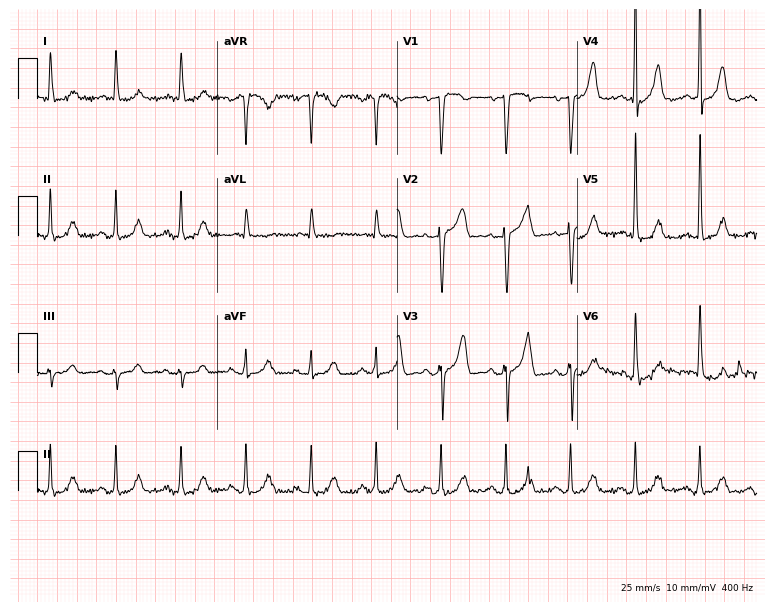
Resting 12-lead electrocardiogram (7.3-second recording at 400 Hz). Patient: a 73-year-old male. None of these six findings is recorded: first-degree AV block, right bundle branch block (RBBB), left bundle branch block (LBBB), sinus bradycardia, atrial fibrillation (AF), sinus tachycardia. Findings outside these six are not listed.